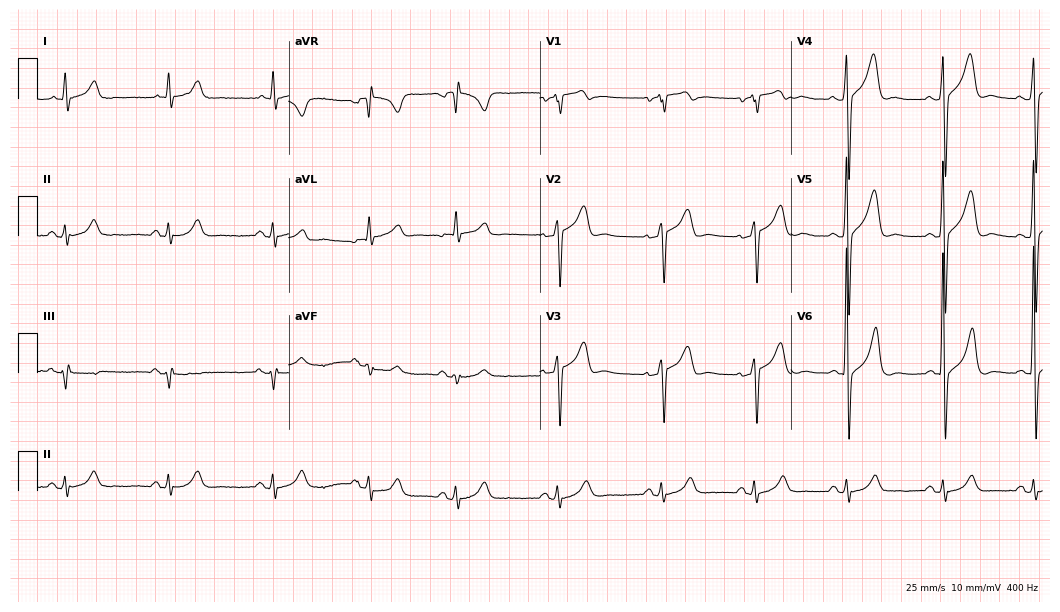
ECG — a man, 69 years old. Screened for six findings — first-degree AV block, right bundle branch block, left bundle branch block, sinus bradycardia, atrial fibrillation, sinus tachycardia — none is recorded.